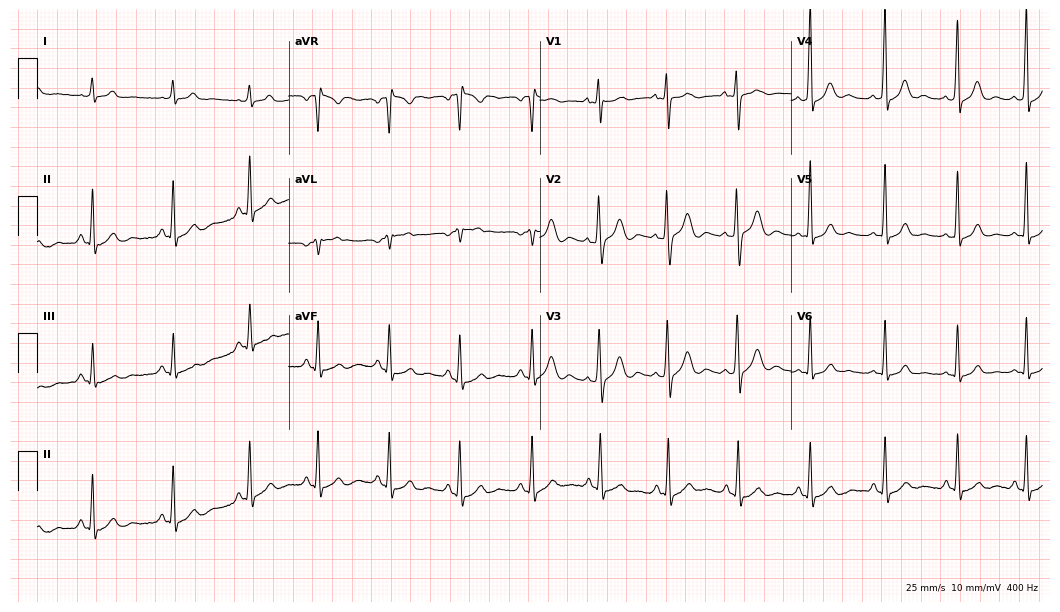
Standard 12-lead ECG recorded from a man, 18 years old. Read as a normal ECG.